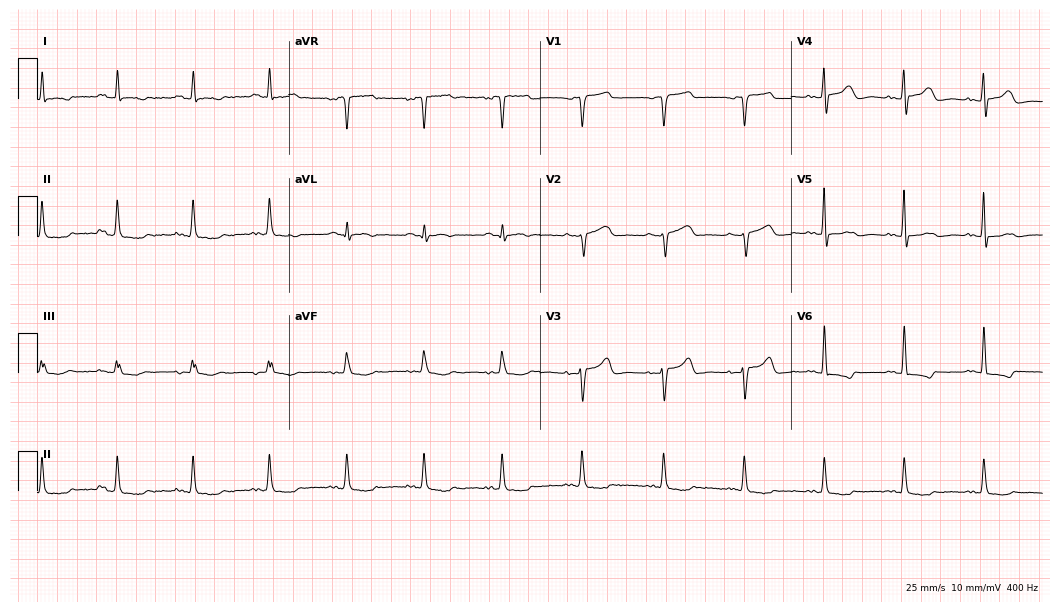
12-lead ECG from a 67-year-old male. Screened for six findings — first-degree AV block, right bundle branch block, left bundle branch block, sinus bradycardia, atrial fibrillation, sinus tachycardia — none is recorded. Findings outside these six are not listed.